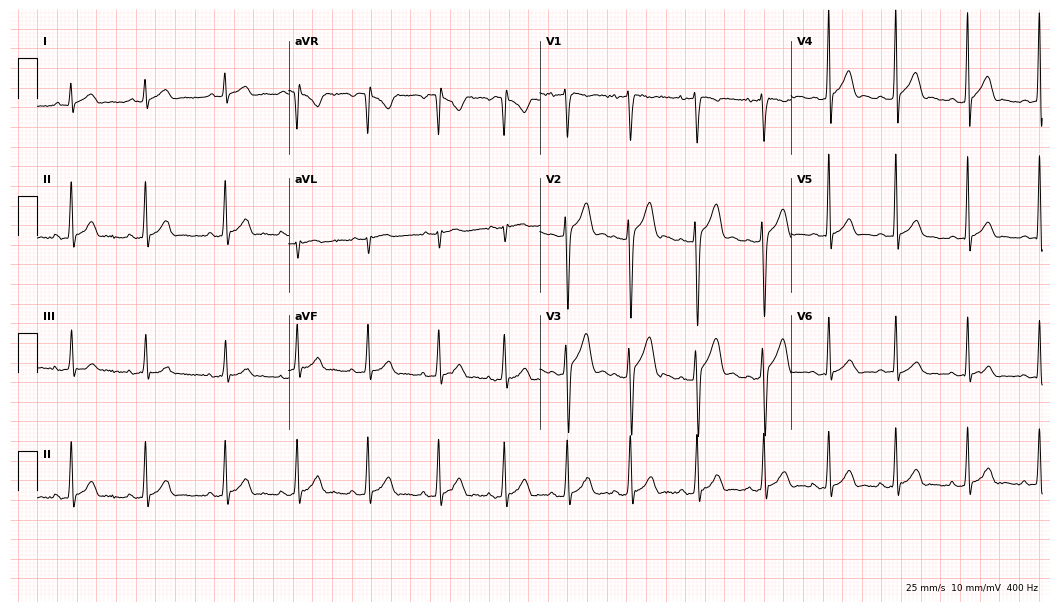
ECG — a 17-year-old male patient. Screened for six findings — first-degree AV block, right bundle branch block, left bundle branch block, sinus bradycardia, atrial fibrillation, sinus tachycardia — none is recorded.